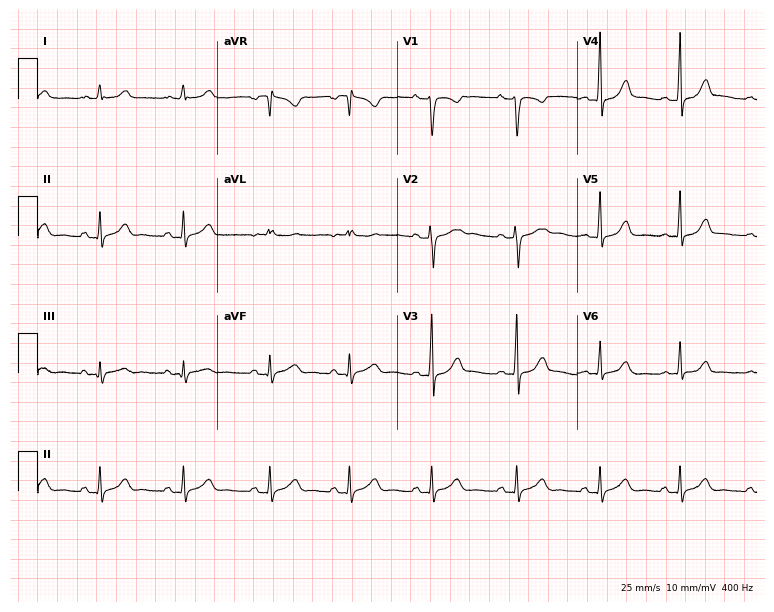
ECG — a female, 25 years old. Screened for six findings — first-degree AV block, right bundle branch block, left bundle branch block, sinus bradycardia, atrial fibrillation, sinus tachycardia — none is recorded. Findings outside these six are not listed.